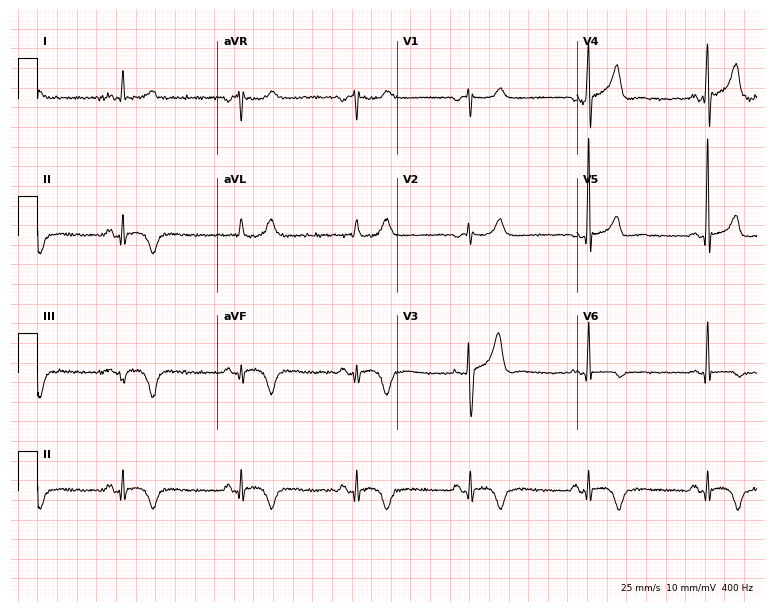
ECG (7.3-second recording at 400 Hz) — a female patient, 39 years old. Screened for six findings — first-degree AV block, right bundle branch block (RBBB), left bundle branch block (LBBB), sinus bradycardia, atrial fibrillation (AF), sinus tachycardia — none is recorded.